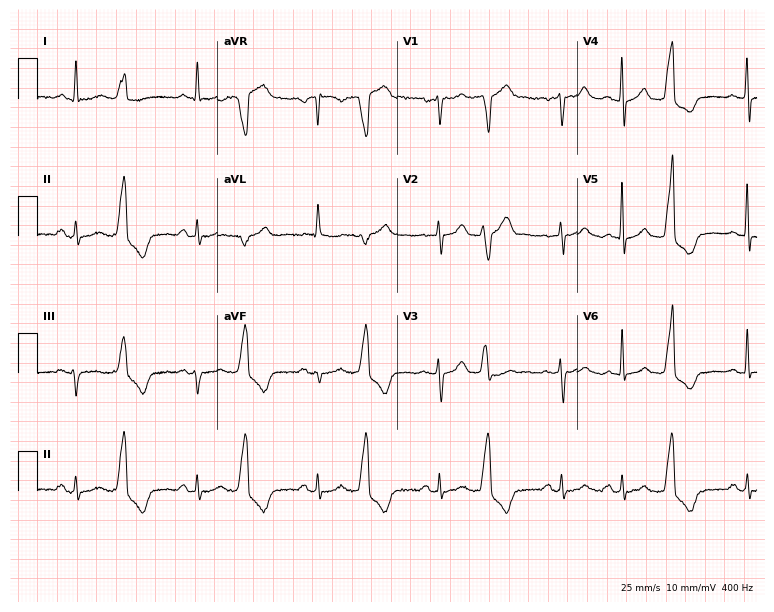
ECG — a 64-year-old man. Screened for six findings — first-degree AV block, right bundle branch block, left bundle branch block, sinus bradycardia, atrial fibrillation, sinus tachycardia — none is recorded. Other findings, if any, are not listed.